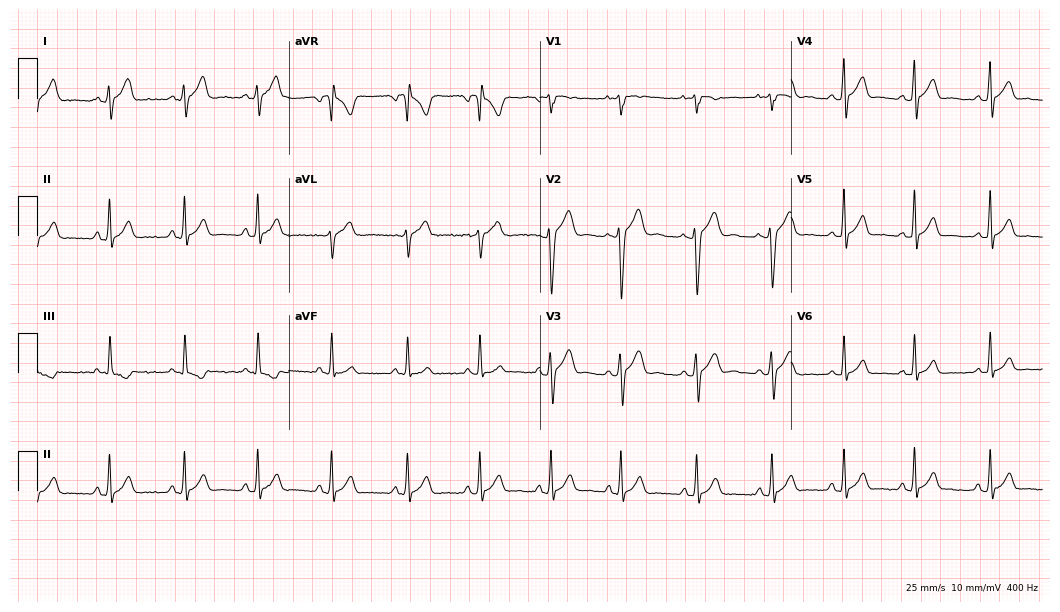
Resting 12-lead electrocardiogram (10.2-second recording at 400 Hz). Patient: a 20-year-old man. Read as a normal ECG.